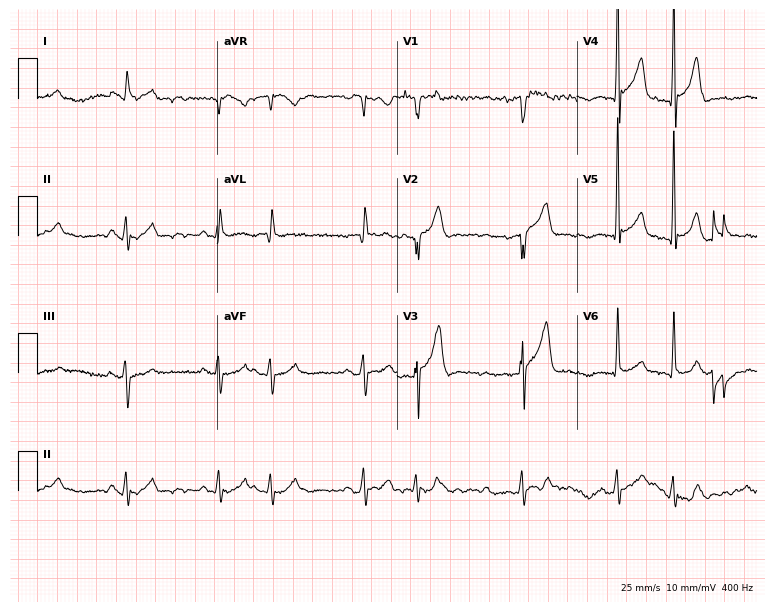
ECG (7.3-second recording at 400 Hz) — an 84-year-old male. Findings include atrial fibrillation.